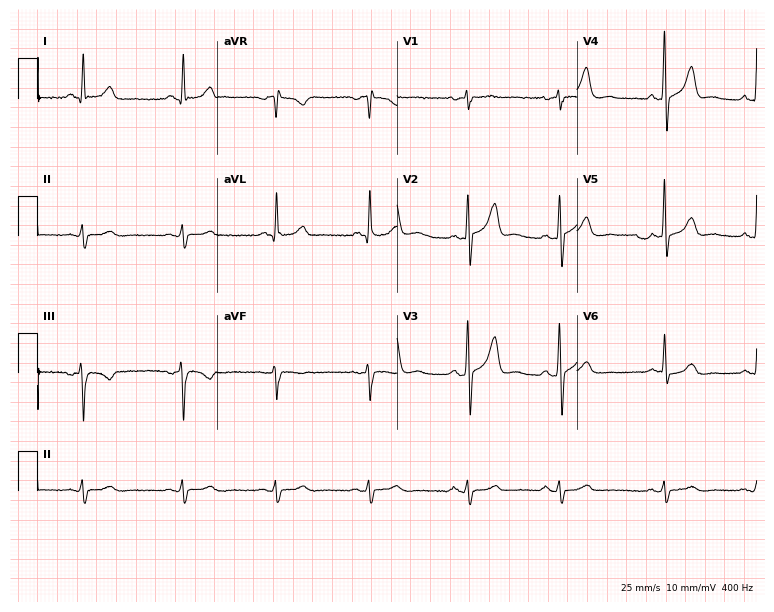
Electrocardiogram, a 59-year-old male patient. Of the six screened findings (first-degree AV block, right bundle branch block (RBBB), left bundle branch block (LBBB), sinus bradycardia, atrial fibrillation (AF), sinus tachycardia), none is recorded.